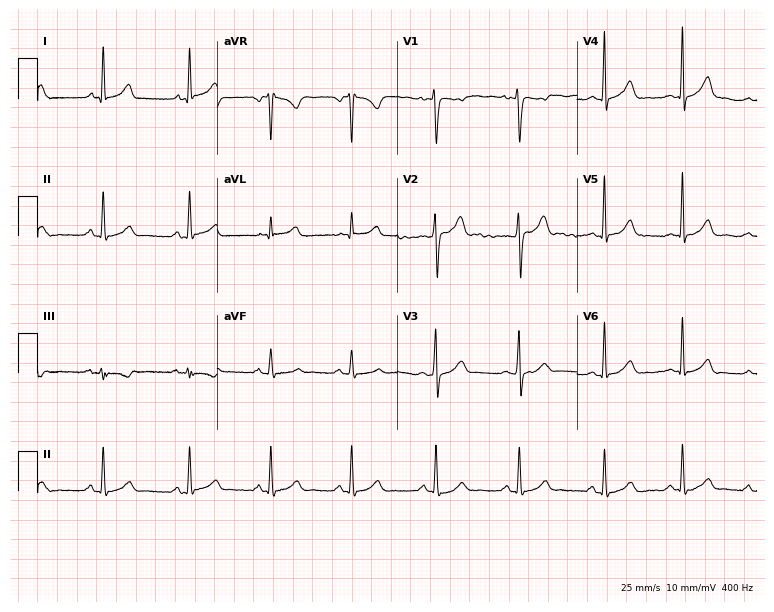
12-lead ECG from a woman, 21 years old. Labelled as a normal ECG.